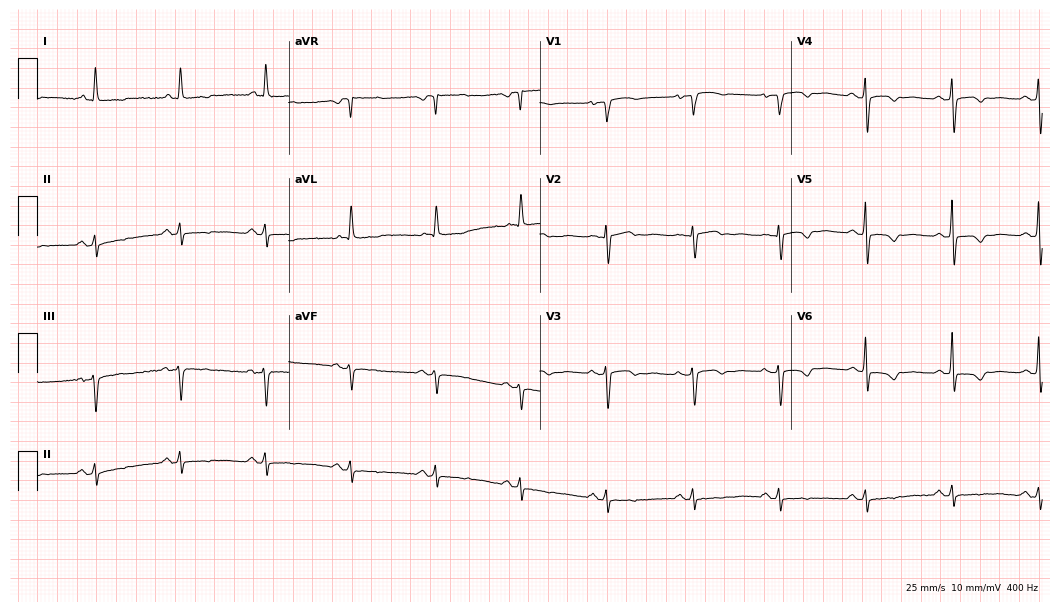
Standard 12-lead ECG recorded from a 76-year-old woman. None of these six findings is recorded: first-degree AV block, right bundle branch block (RBBB), left bundle branch block (LBBB), sinus bradycardia, atrial fibrillation (AF), sinus tachycardia. Only these six findings were labelled.